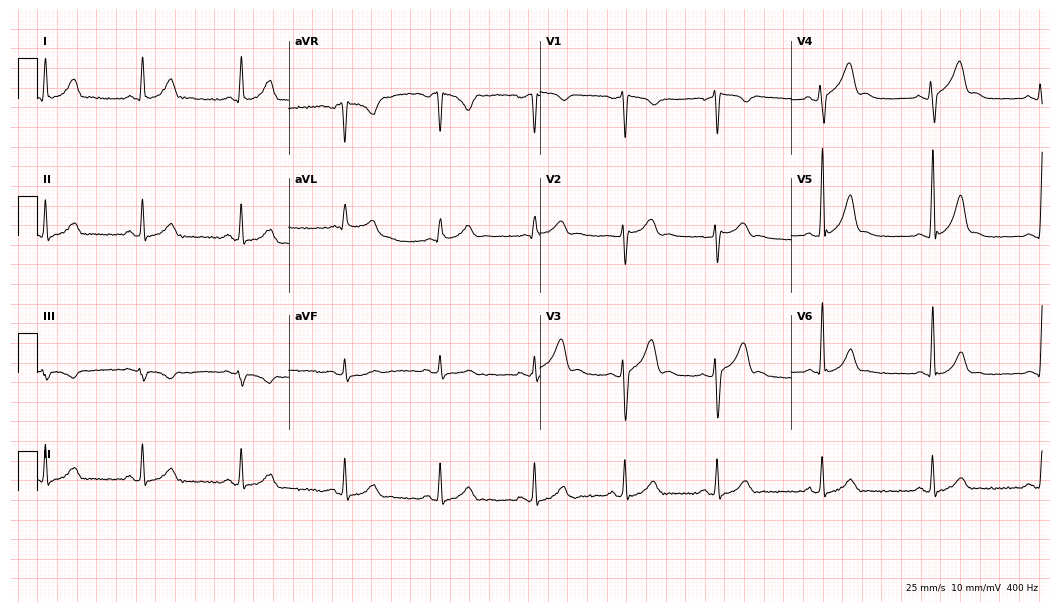
Standard 12-lead ECG recorded from a 37-year-old male. None of these six findings is recorded: first-degree AV block, right bundle branch block (RBBB), left bundle branch block (LBBB), sinus bradycardia, atrial fibrillation (AF), sinus tachycardia. Only these six findings were labelled.